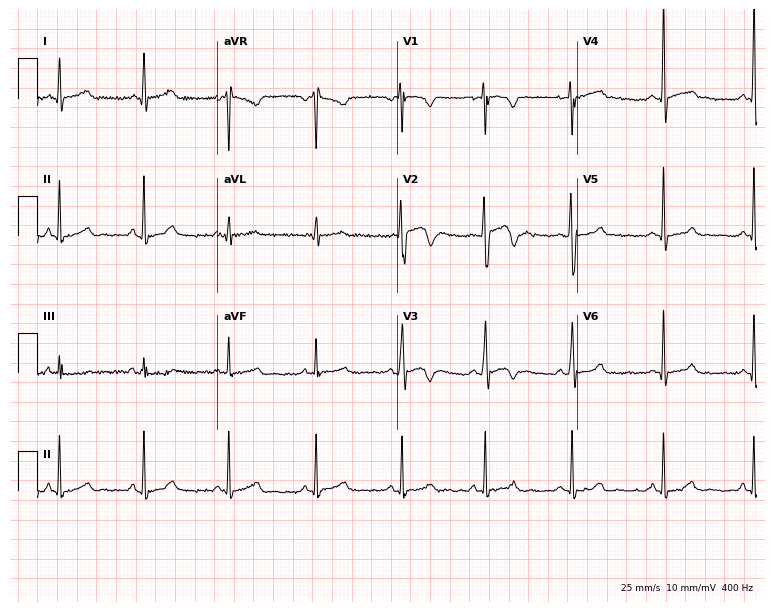
12-lead ECG from a 29-year-old male patient (7.3-second recording at 400 Hz). Recorded interpretation: within normal limits.